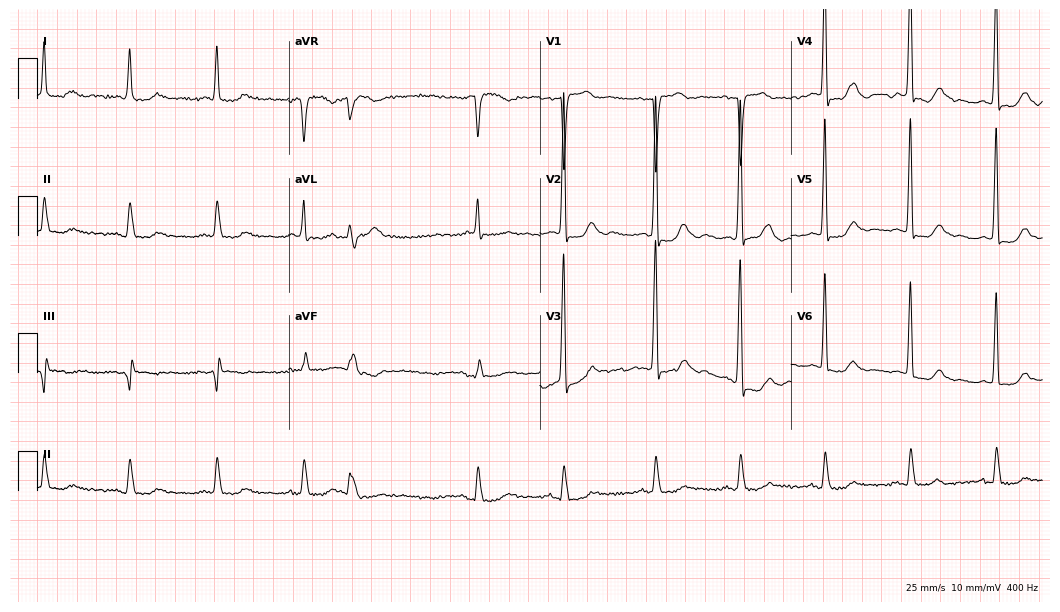
12-lead ECG from a male, 76 years old (10.2-second recording at 400 Hz). No first-degree AV block, right bundle branch block (RBBB), left bundle branch block (LBBB), sinus bradycardia, atrial fibrillation (AF) or sinus tachycardia recorded for this tracing. Other findings, if any, are not listed.